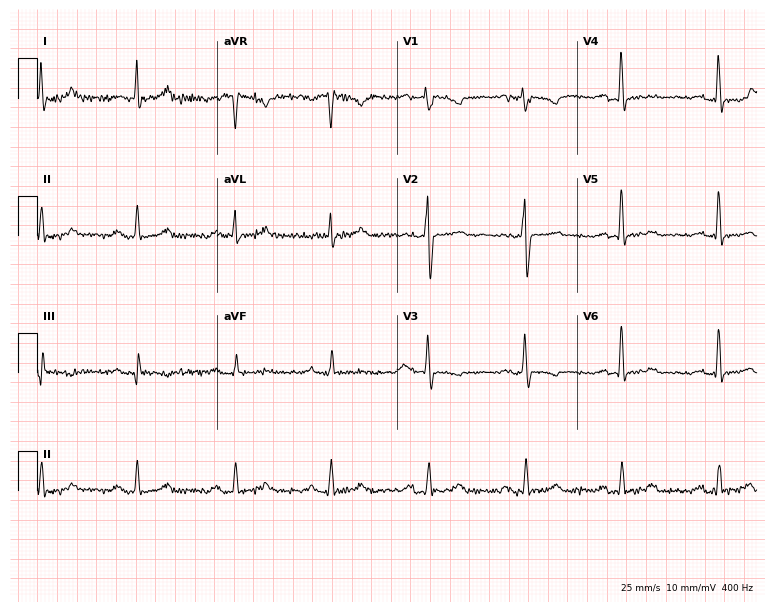
Electrocardiogram, a female patient, 62 years old. Interpretation includes first-degree AV block.